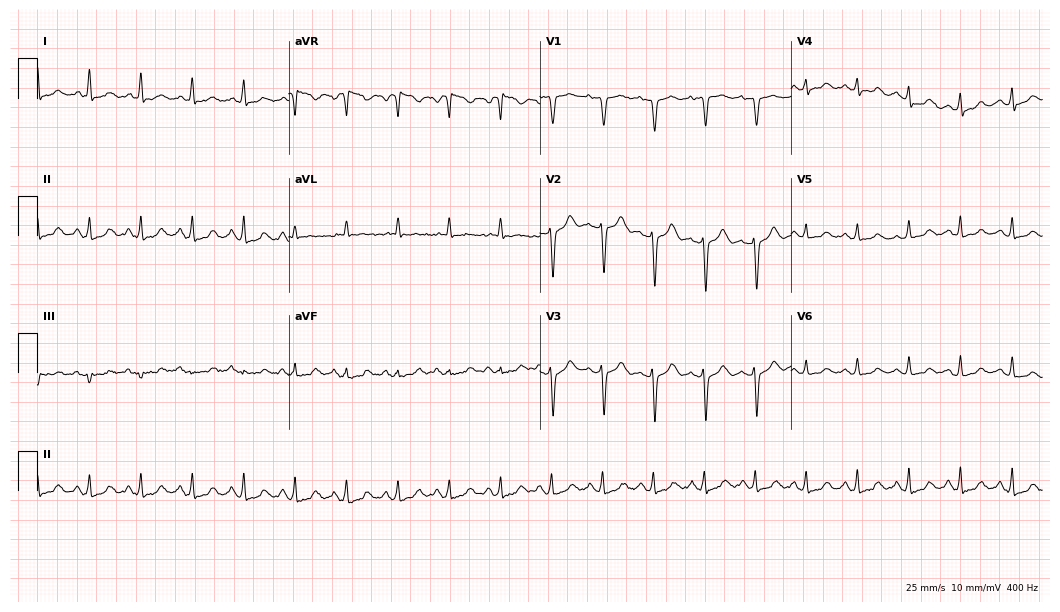
ECG — a female, 63 years old. Findings include sinus tachycardia (a sinus rate of 100 beats per minute or more).